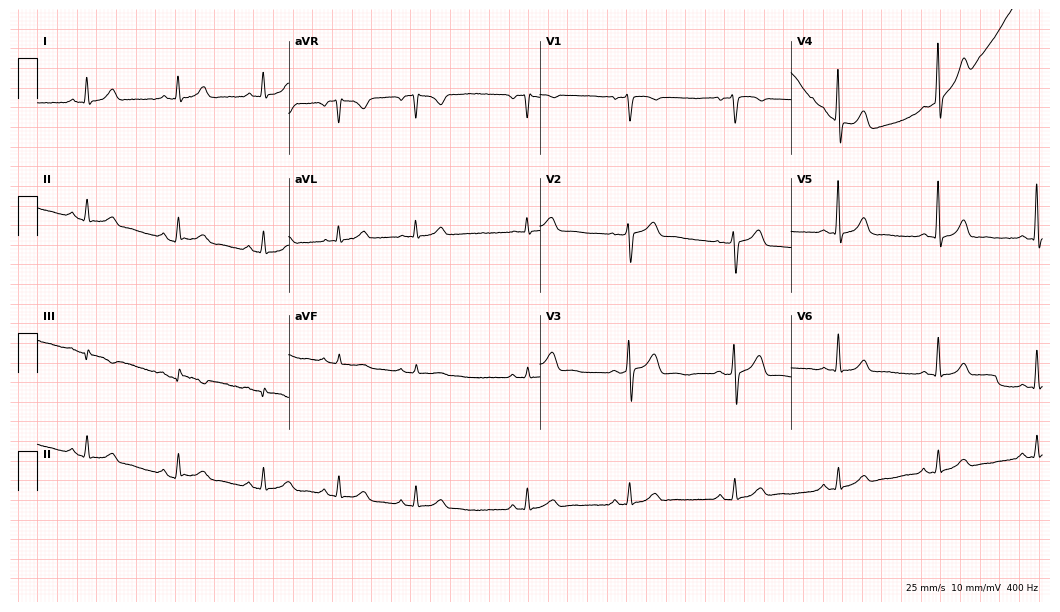
Electrocardiogram (10.2-second recording at 400 Hz), a male, 59 years old. Overall reading on record: normal ECG.